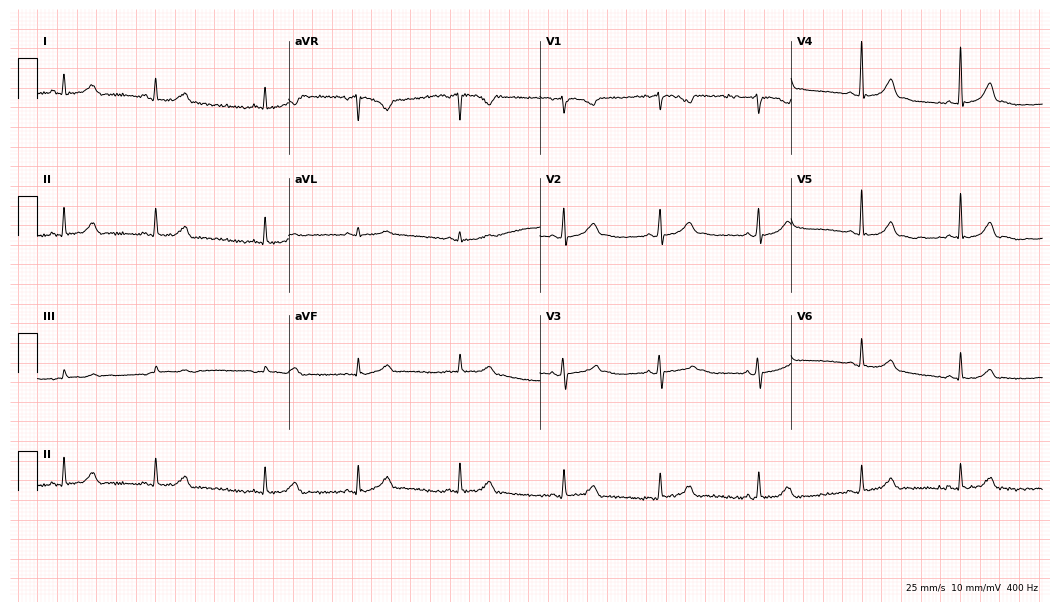
12-lead ECG from a female, 18 years old. Recorded interpretation: within normal limits.